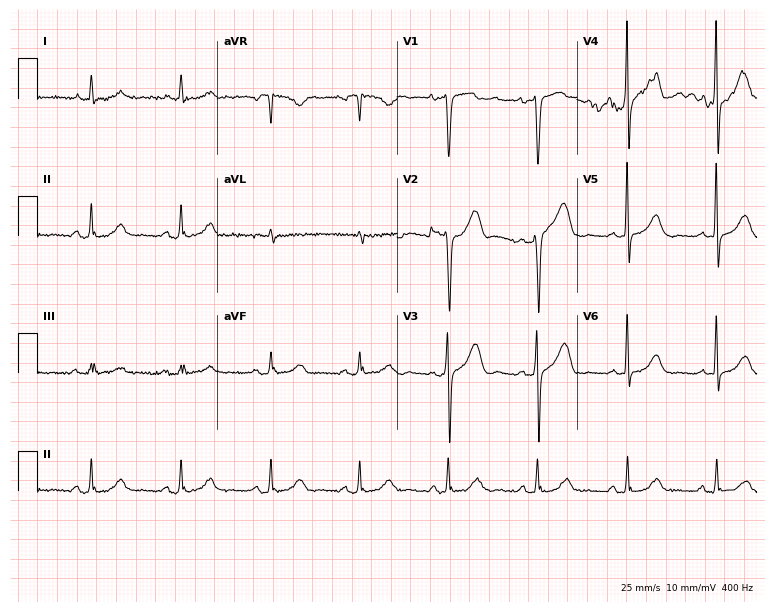
Standard 12-lead ECG recorded from a 53-year-old woman. Read as a normal ECG.